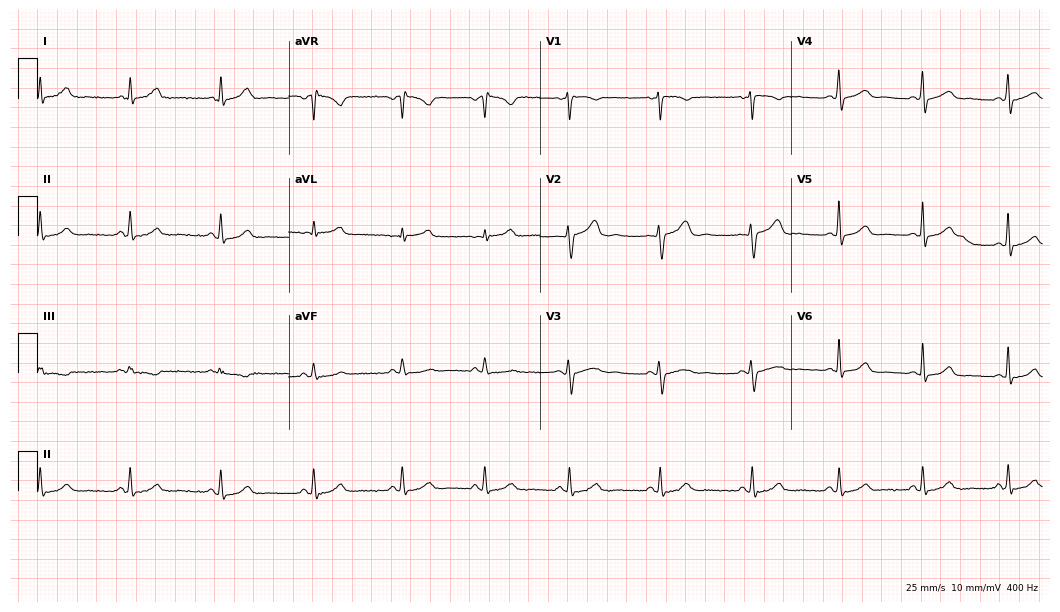
ECG (10.2-second recording at 400 Hz) — a female patient, 33 years old. Labelled as a normal ECG.